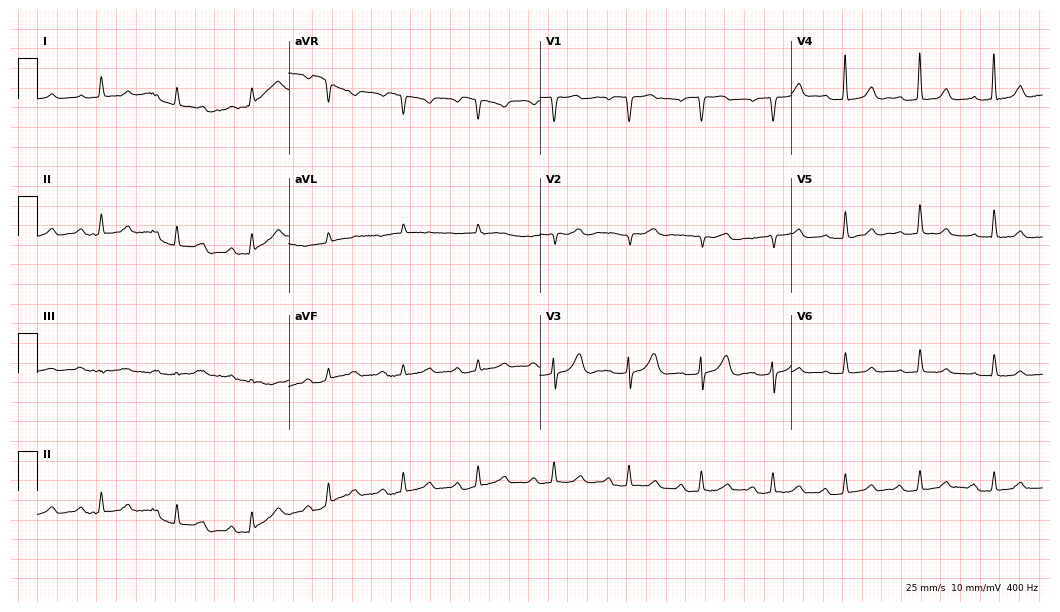
Standard 12-lead ECG recorded from an 84-year-old female (10.2-second recording at 400 Hz). The tracing shows first-degree AV block.